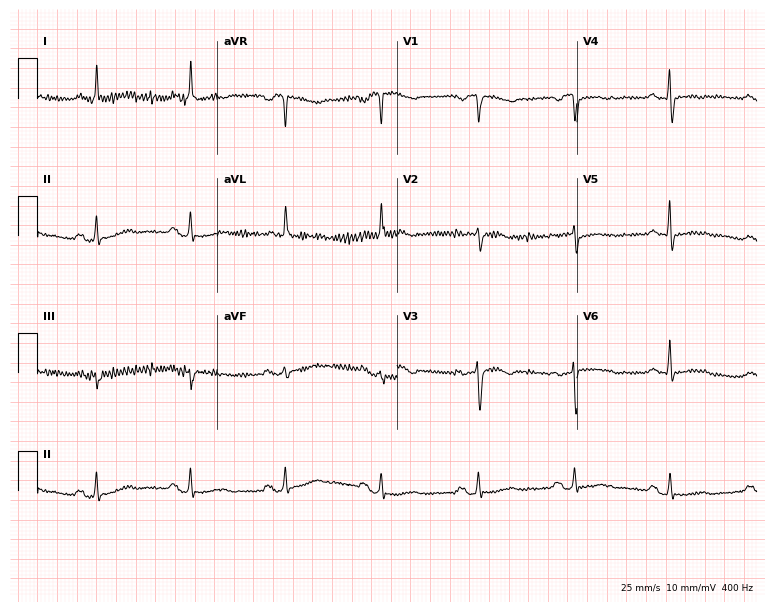
ECG (7.3-second recording at 400 Hz) — a female, 55 years old. Screened for six findings — first-degree AV block, right bundle branch block, left bundle branch block, sinus bradycardia, atrial fibrillation, sinus tachycardia — none is recorded.